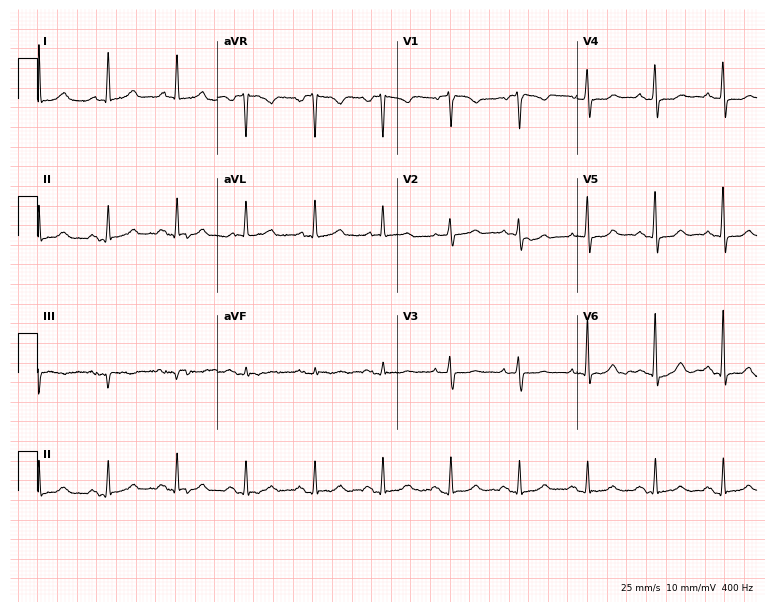
12-lead ECG (7.3-second recording at 400 Hz) from a female, 70 years old. Labelled as a normal ECG.